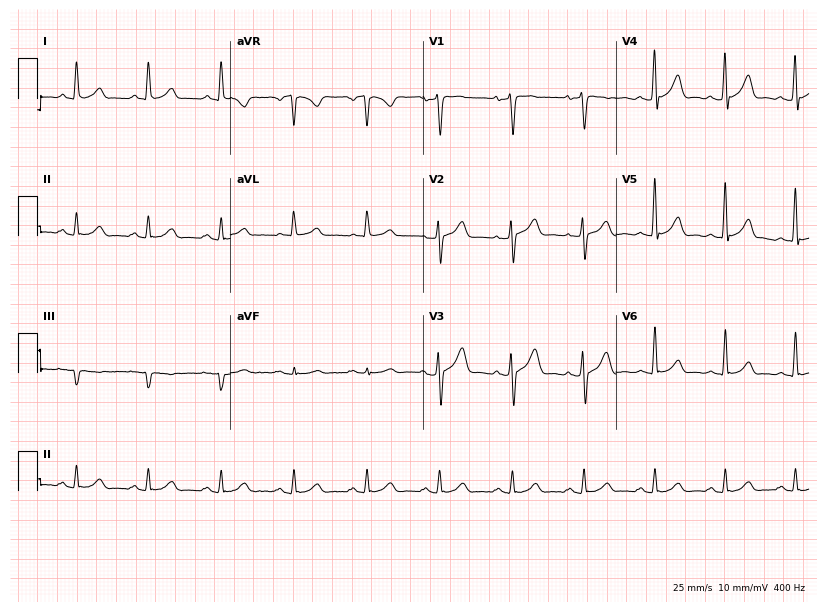
12-lead ECG (7.9-second recording at 400 Hz) from a male, 41 years old. Screened for six findings — first-degree AV block, right bundle branch block (RBBB), left bundle branch block (LBBB), sinus bradycardia, atrial fibrillation (AF), sinus tachycardia — none is recorded.